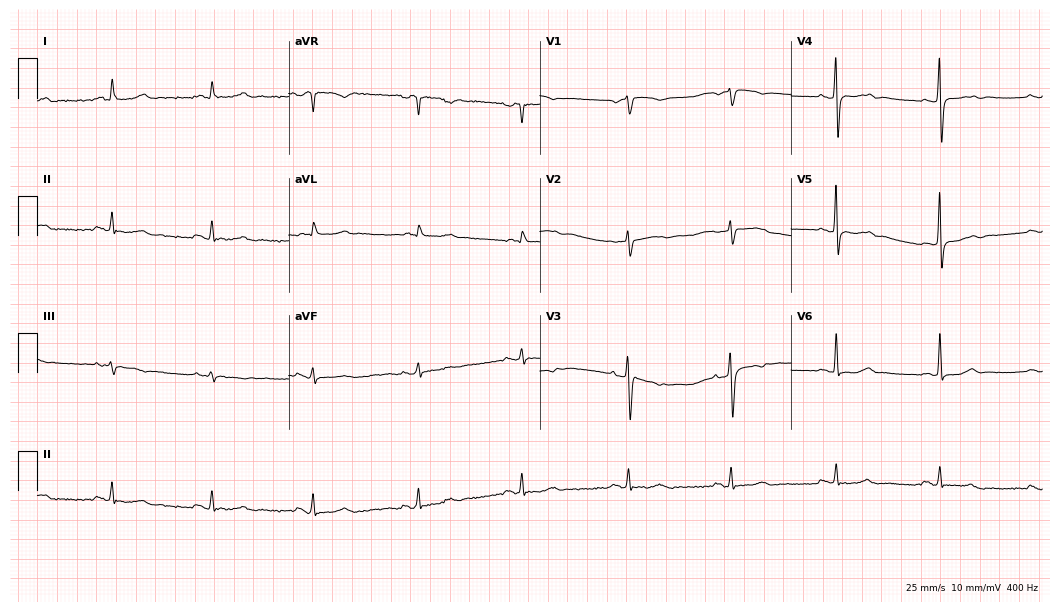
Electrocardiogram (10.2-second recording at 400 Hz), a 70-year-old female. Overall reading on record: normal ECG.